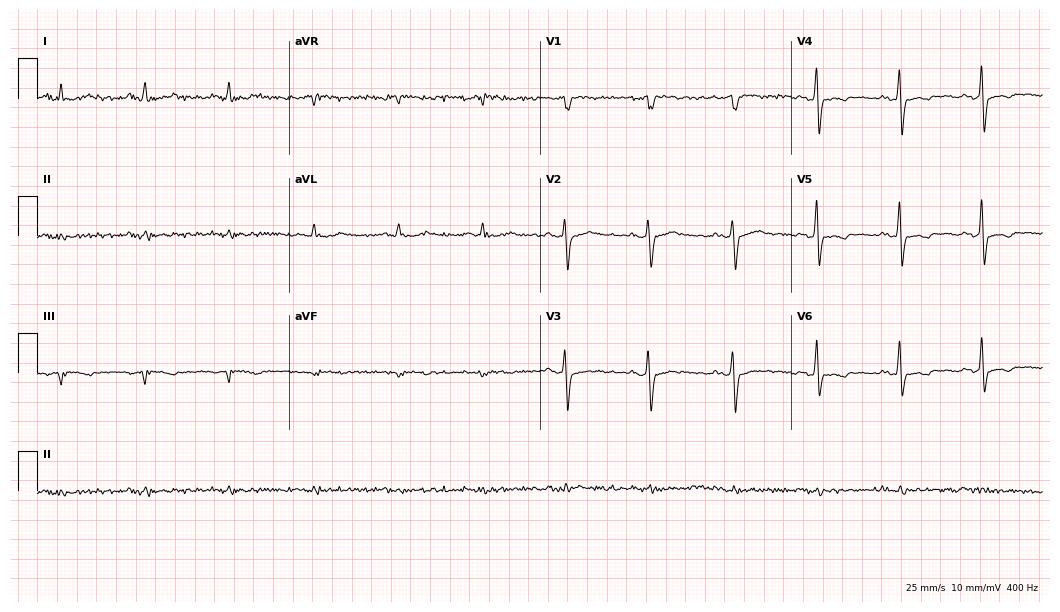
Standard 12-lead ECG recorded from a 55-year-old woman (10.2-second recording at 400 Hz). None of these six findings is recorded: first-degree AV block, right bundle branch block, left bundle branch block, sinus bradycardia, atrial fibrillation, sinus tachycardia.